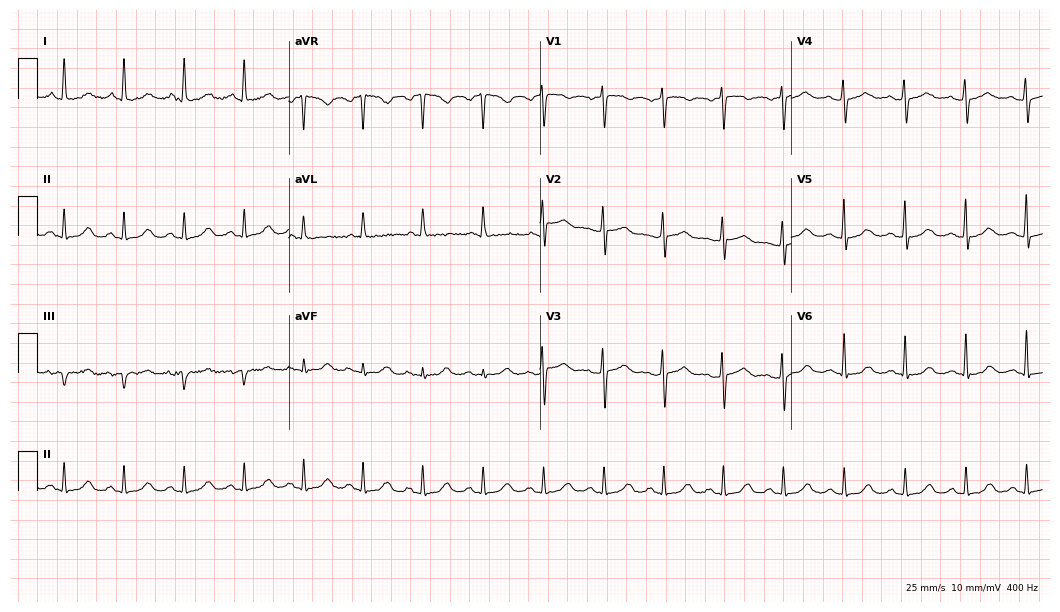
ECG — a female patient, 64 years old. Labelled as a normal ECG.